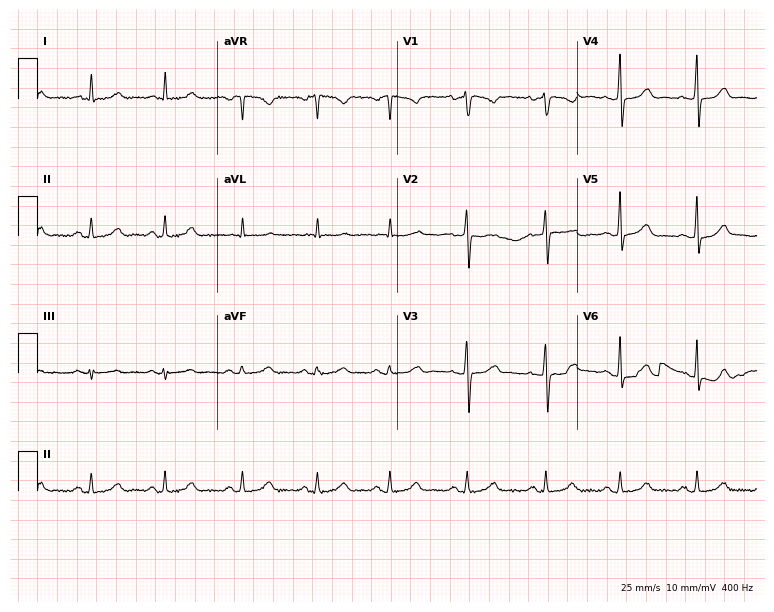
Resting 12-lead electrocardiogram (7.3-second recording at 400 Hz). Patient: a 39-year-old woman. None of these six findings is recorded: first-degree AV block, right bundle branch block, left bundle branch block, sinus bradycardia, atrial fibrillation, sinus tachycardia.